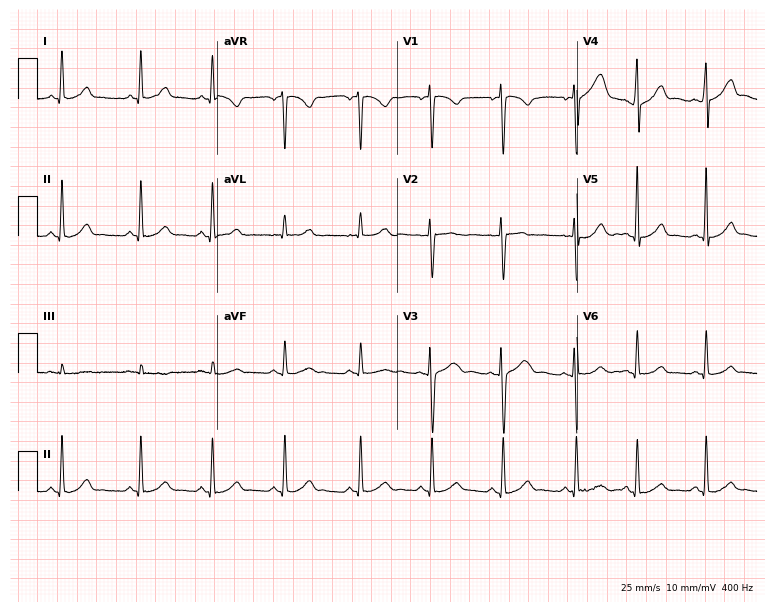
Resting 12-lead electrocardiogram. Patient: an 18-year-old woman. None of these six findings is recorded: first-degree AV block, right bundle branch block, left bundle branch block, sinus bradycardia, atrial fibrillation, sinus tachycardia.